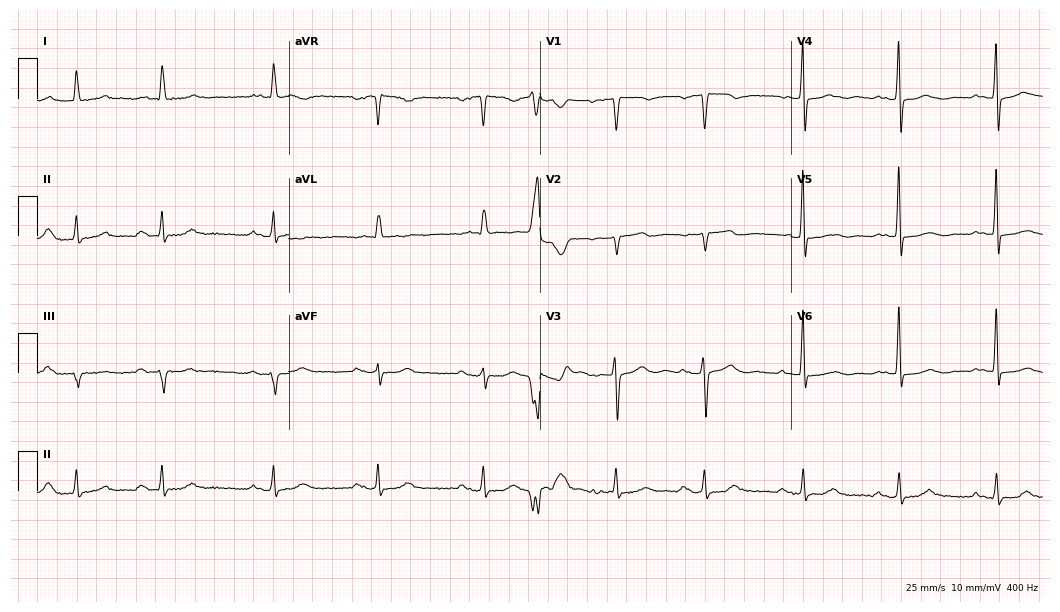
12-lead ECG from a female patient, 83 years old. Screened for six findings — first-degree AV block, right bundle branch block, left bundle branch block, sinus bradycardia, atrial fibrillation, sinus tachycardia — none is recorded. Other findings, if any, are not listed.